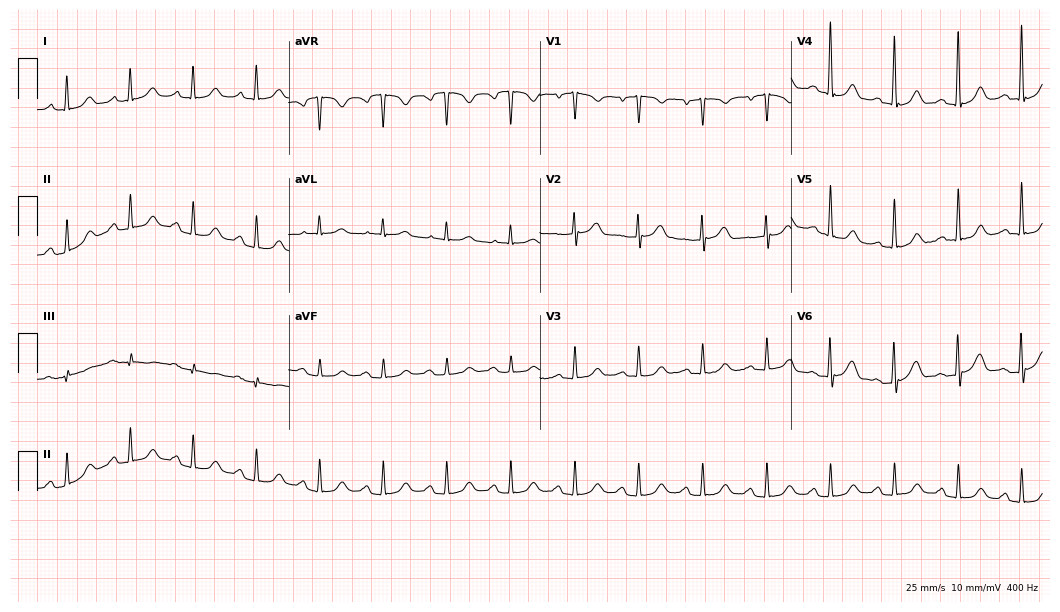
Standard 12-lead ECG recorded from a male, 69 years old. None of these six findings is recorded: first-degree AV block, right bundle branch block, left bundle branch block, sinus bradycardia, atrial fibrillation, sinus tachycardia. Findings outside these six are not listed.